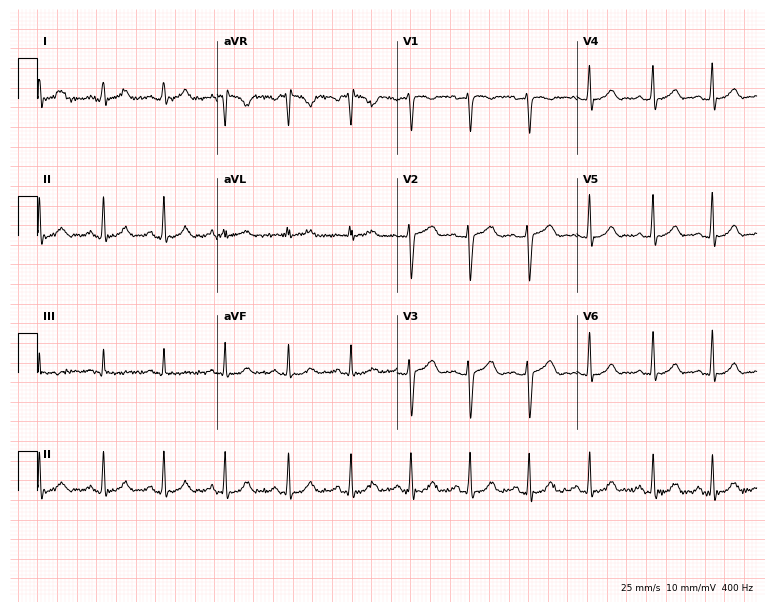
Standard 12-lead ECG recorded from a 19-year-old female patient. Read as a normal ECG.